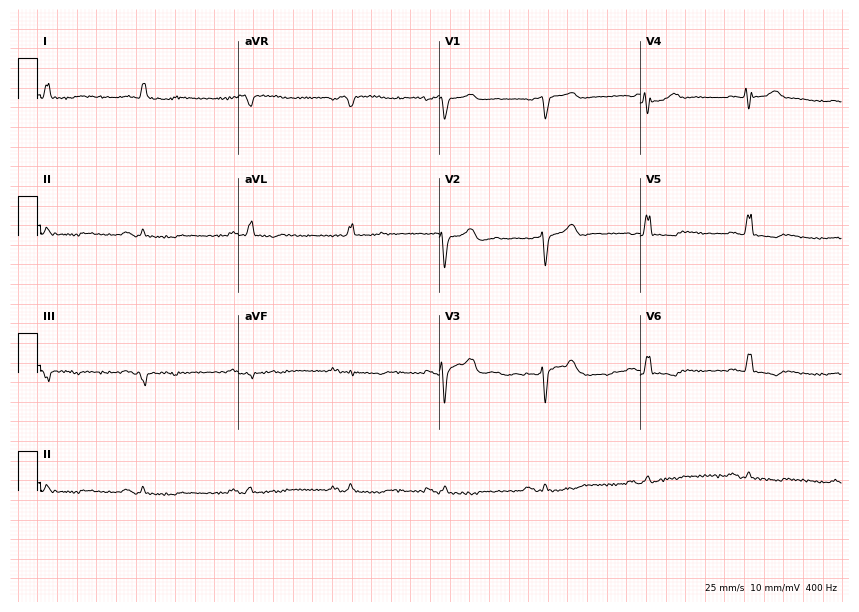
ECG (8.2-second recording at 400 Hz) — a 68-year-old male patient. Screened for six findings — first-degree AV block, right bundle branch block, left bundle branch block, sinus bradycardia, atrial fibrillation, sinus tachycardia — none is recorded. Other findings, if any, are not listed.